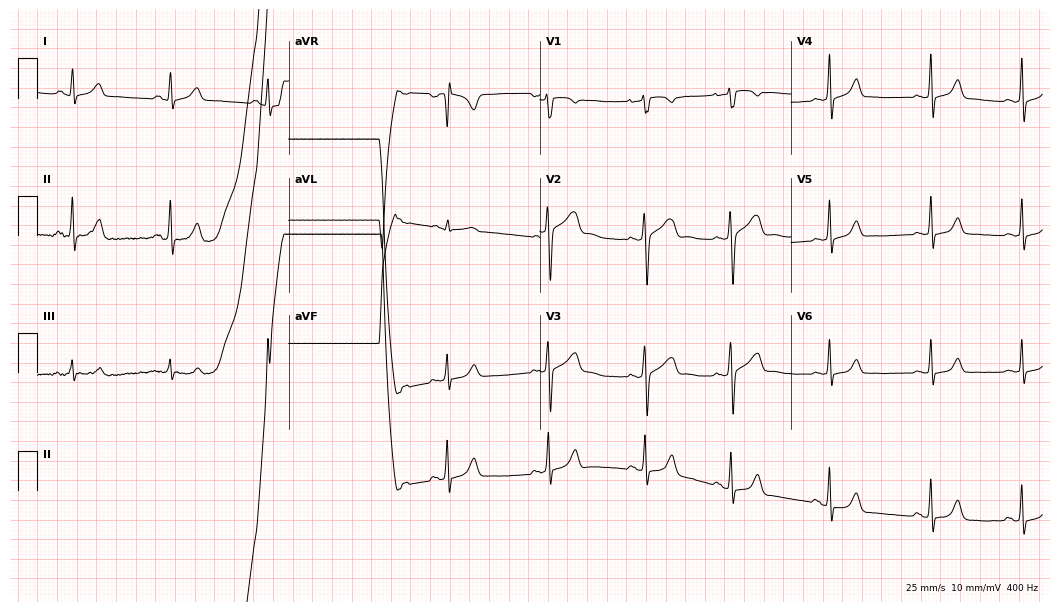
Standard 12-lead ECG recorded from a 17-year-old female (10.2-second recording at 400 Hz). None of these six findings is recorded: first-degree AV block, right bundle branch block (RBBB), left bundle branch block (LBBB), sinus bradycardia, atrial fibrillation (AF), sinus tachycardia. Other findings, if any, are not listed.